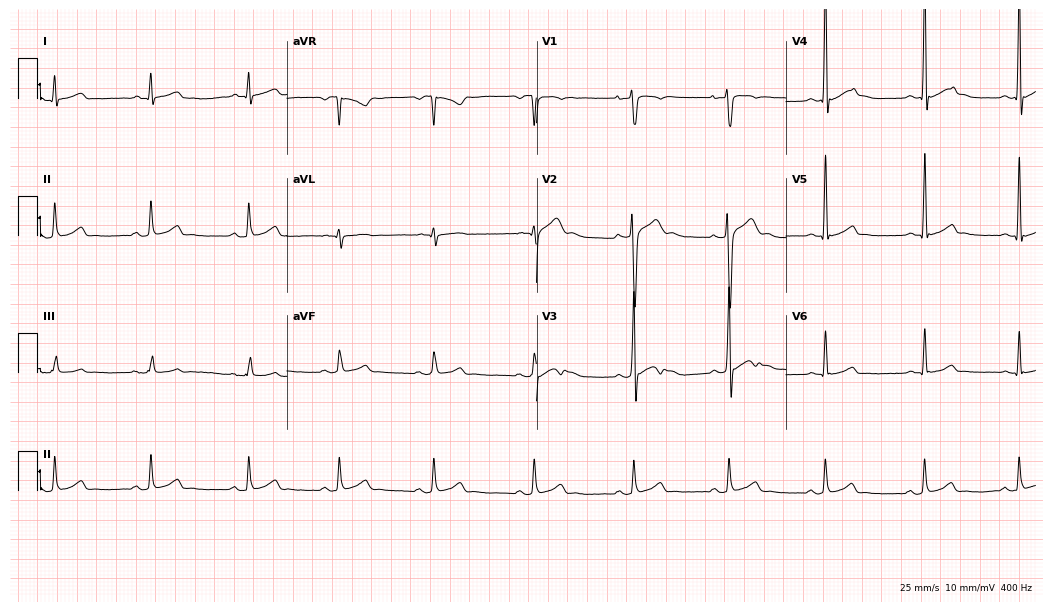
ECG — a male patient, 19 years old. Labelled as a normal ECG.